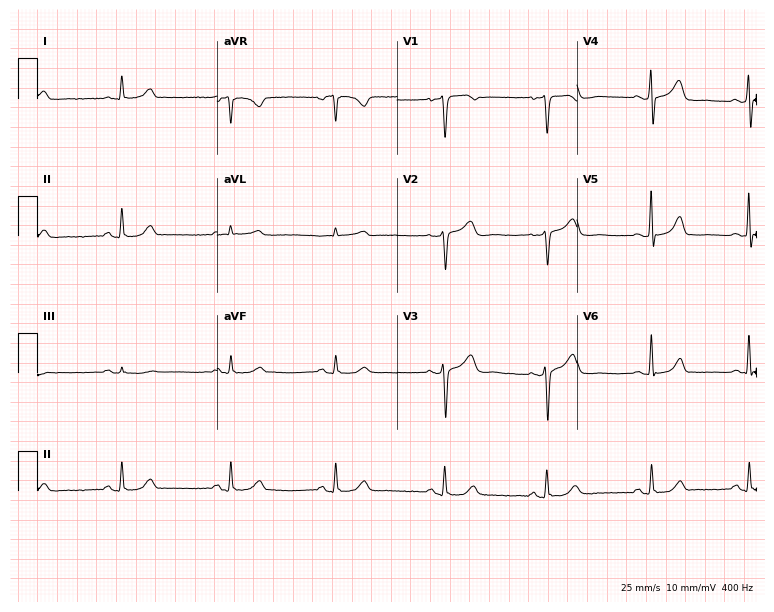
Standard 12-lead ECG recorded from a female patient, 65 years old. None of these six findings is recorded: first-degree AV block, right bundle branch block, left bundle branch block, sinus bradycardia, atrial fibrillation, sinus tachycardia.